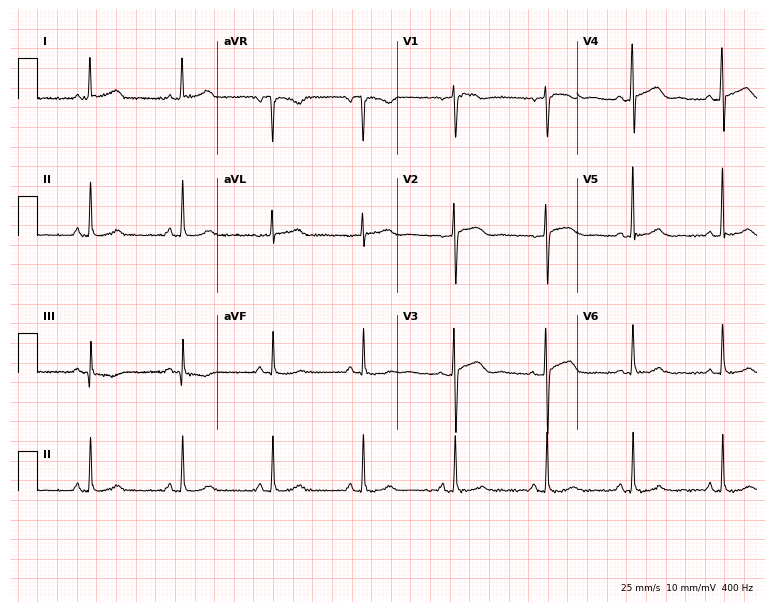
Standard 12-lead ECG recorded from a woman, 41 years old (7.3-second recording at 400 Hz). Read as a normal ECG.